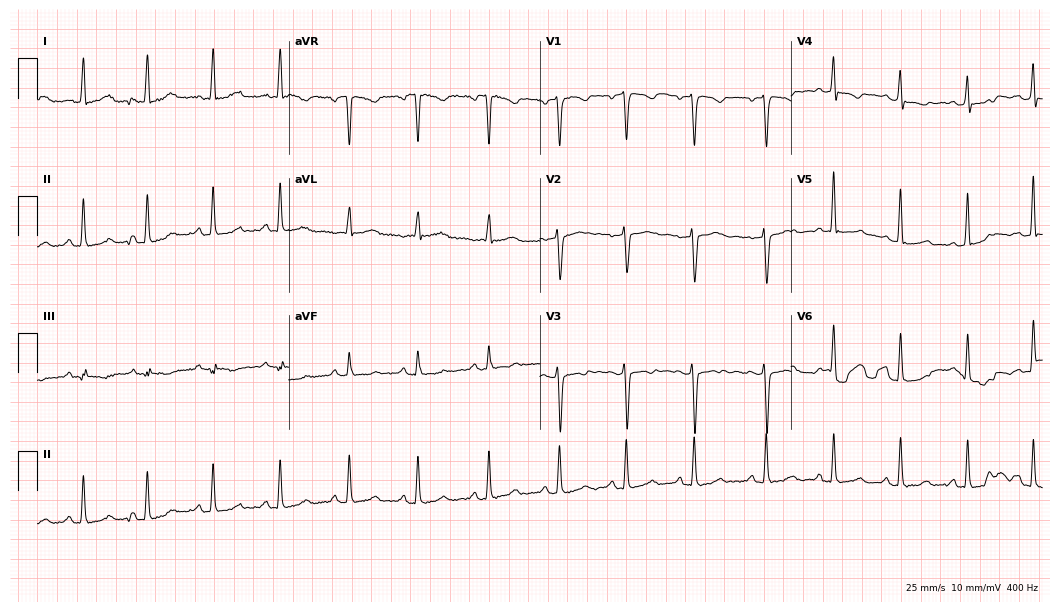
12-lead ECG from a female patient, 20 years old (10.2-second recording at 400 Hz). No first-degree AV block, right bundle branch block, left bundle branch block, sinus bradycardia, atrial fibrillation or sinus tachycardia recorded for this tracing. Other findings, if any, are not listed.